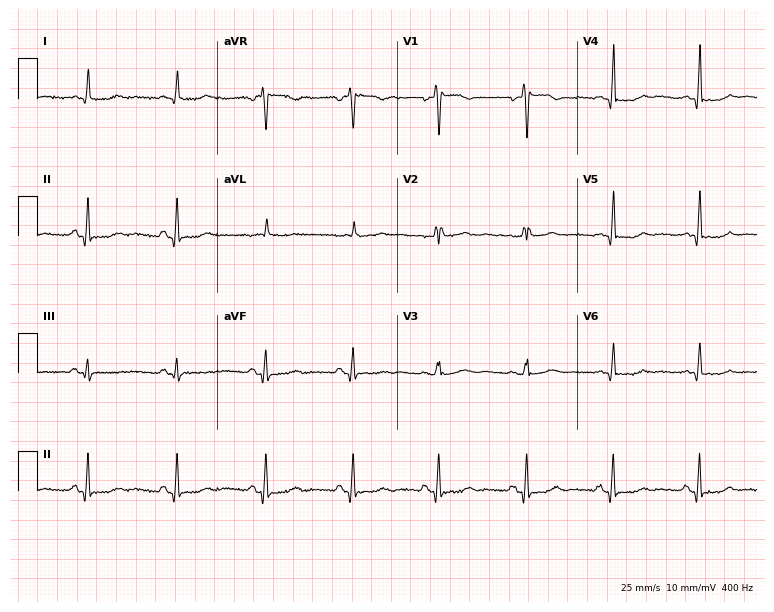
12-lead ECG from a 62-year-old woman (7.3-second recording at 400 Hz). No first-degree AV block, right bundle branch block, left bundle branch block, sinus bradycardia, atrial fibrillation or sinus tachycardia recorded for this tracing.